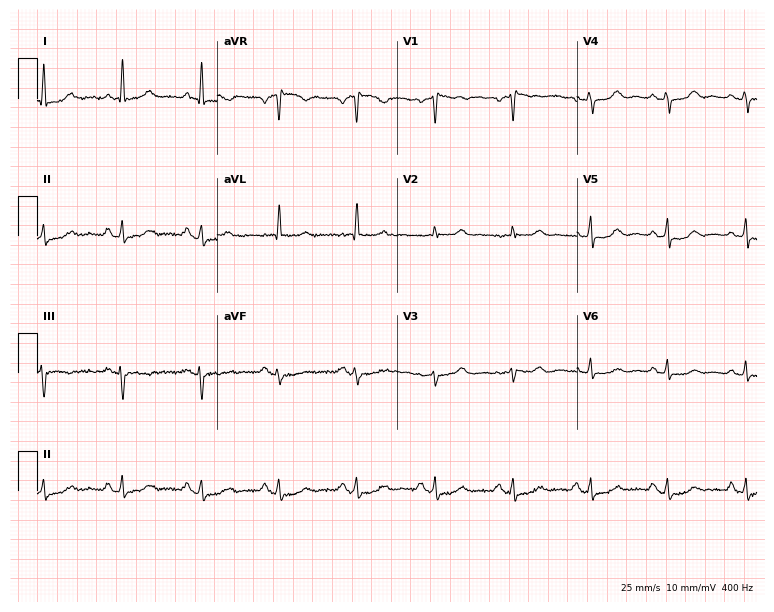
12-lead ECG from a 59-year-old woman (7.3-second recording at 400 Hz). No first-degree AV block, right bundle branch block (RBBB), left bundle branch block (LBBB), sinus bradycardia, atrial fibrillation (AF) or sinus tachycardia recorded for this tracing.